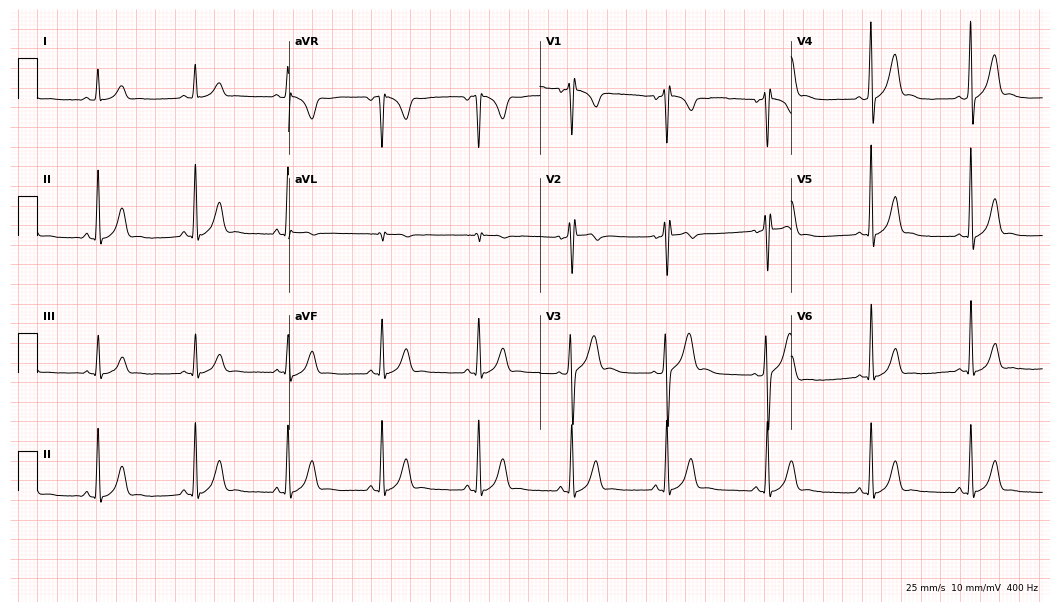
Electrocardiogram (10.2-second recording at 400 Hz), a 19-year-old man. Of the six screened findings (first-degree AV block, right bundle branch block, left bundle branch block, sinus bradycardia, atrial fibrillation, sinus tachycardia), none is recorded. Other findings, if any, are not listed.